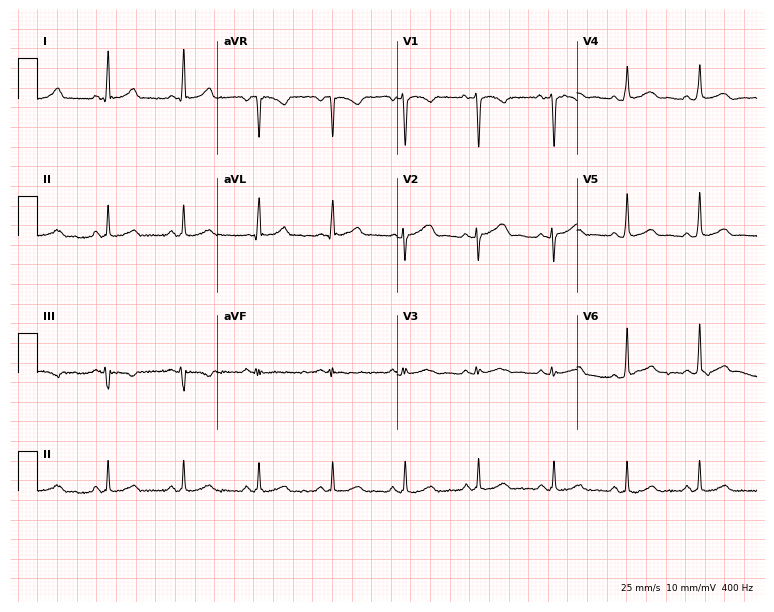
ECG (7.3-second recording at 400 Hz) — a 42-year-old woman. Labelled as a normal ECG.